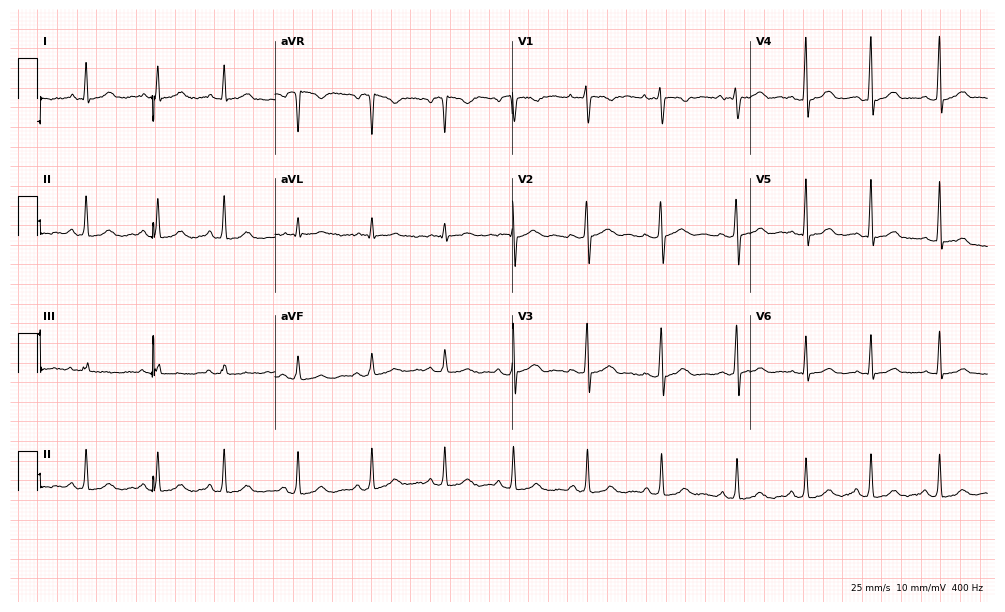
12-lead ECG (9.7-second recording at 400 Hz) from a female patient, 32 years old. Labelled as a normal ECG.